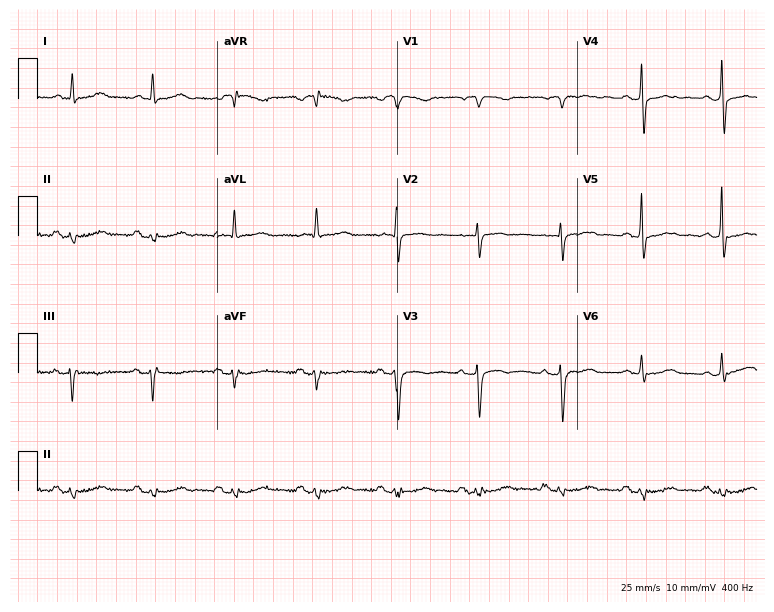
ECG (7.3-second recording at 400 Hz) — a 66-year-old female patient. Screened for six findings — first-degree AV block, right bundle branch block (RBBB), left bundle branch block (LBBB), sinus bradycardia, atrial fibrillation (AF), sinus tachycardia — none is recorded. Only these six findings were labelled.